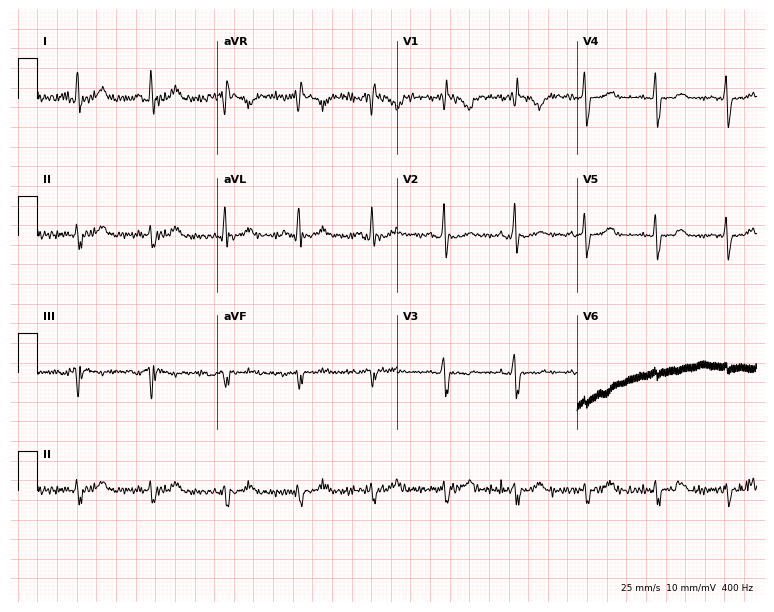
ECG — a 43-year-old woman. Screened for six findings — first-degree AV block, right bundle branch block, left bundle branch block, sinus bradycardia, atrial fibrillation, sinus tachycardia — none is recorded.